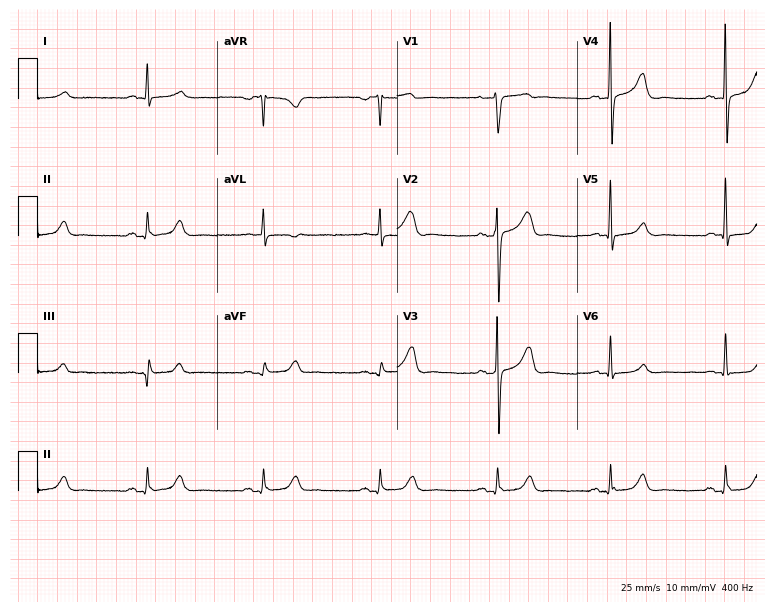
Standard 12-lead ECG recorded from a man, 72 years old. Read as a normal ECG.